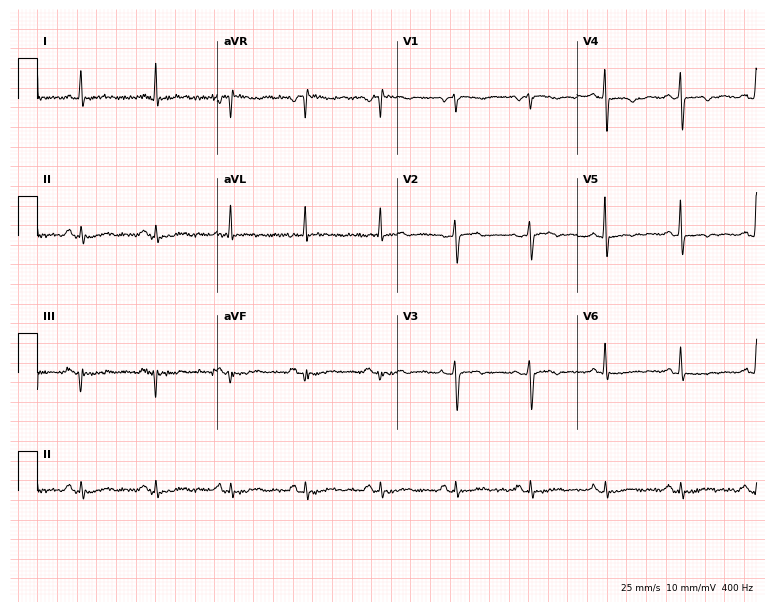
12-lead ECG from a female, 78 years old. Screened for six findings — first-degree AV block, right bundle branch block (RBBB), left bundle branch block (LBBB), sinus bradycardia, atrial fibrillation (AF), sinus tachycardia — none is recorded.